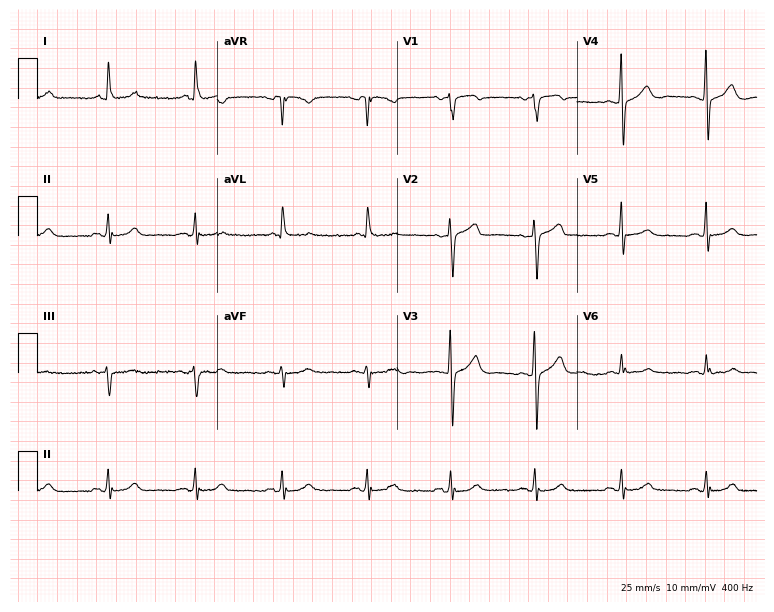
12-lead ECG from a woman, 65 years old. Recorded interpretation: within normal limits.